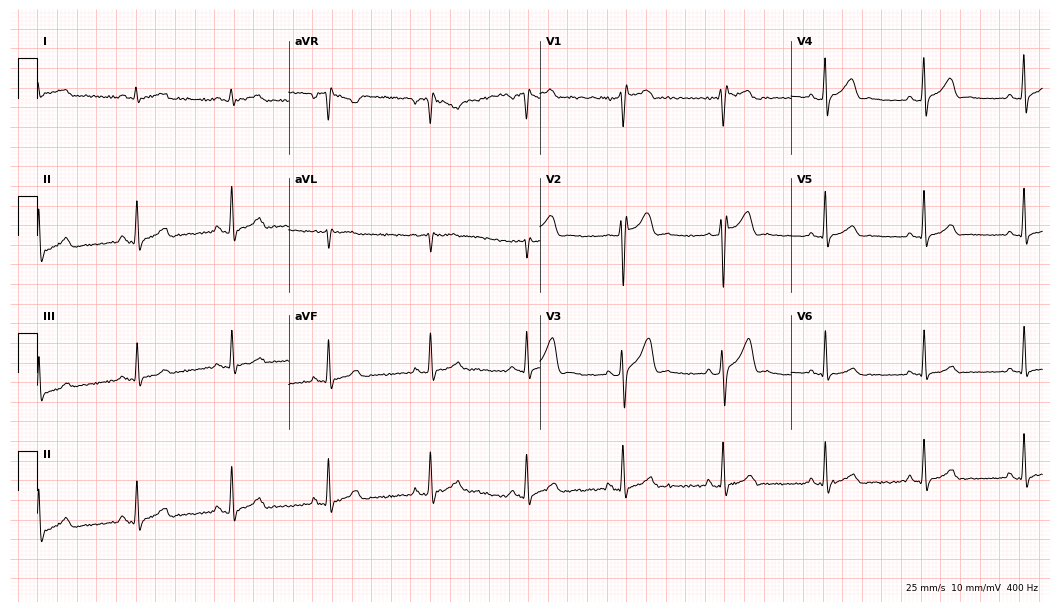
Electrocardiogram, a man, 36 years old. Of the six screened findings (first-degree AV block, right bundle branch block, left bundle branch block, sinus bradycardia, atrial fibrillation, sinus tachycardia), none is recorded.